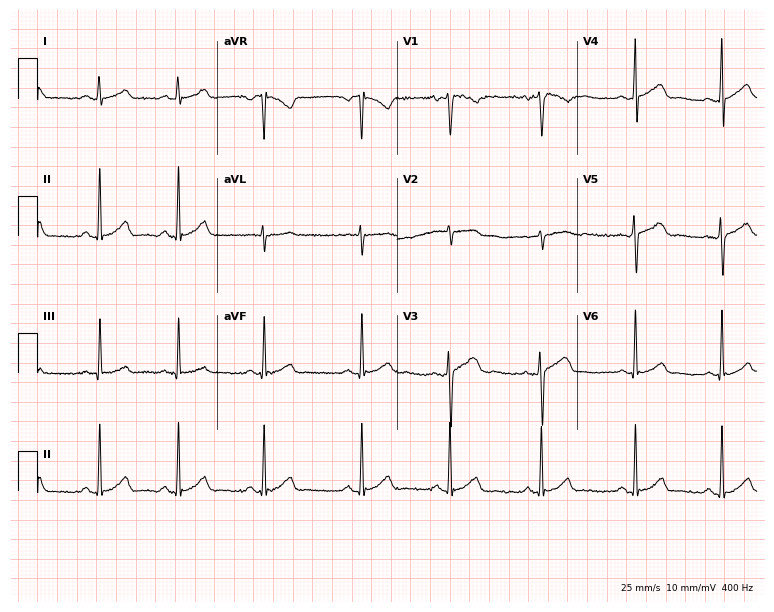
Resting 12-lead electrocardiogram (7.3-second recording at 400 Hz). Patient: a 30-year-old woman. Read as a normal ECG.